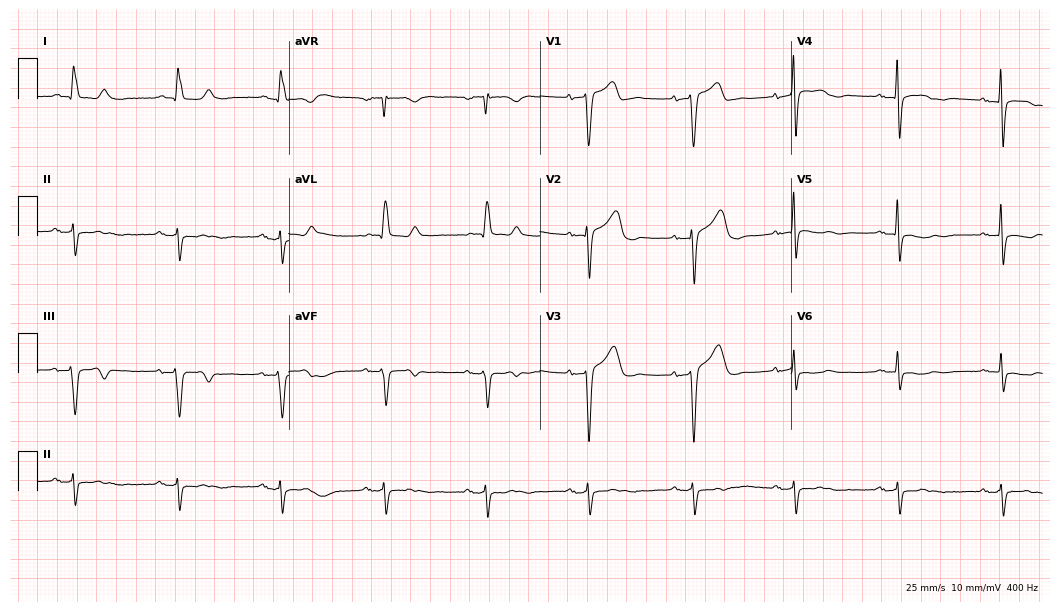
Standard 12-lead ECG recorded from an 83-year-old male patient. None of these six findings is recorded: first-degree AV block, right bundle branch block (RBBB), left bundle branch block (LBBB), sinus bradycardia, atrial fibrillation (AF), sinus tachycardia.